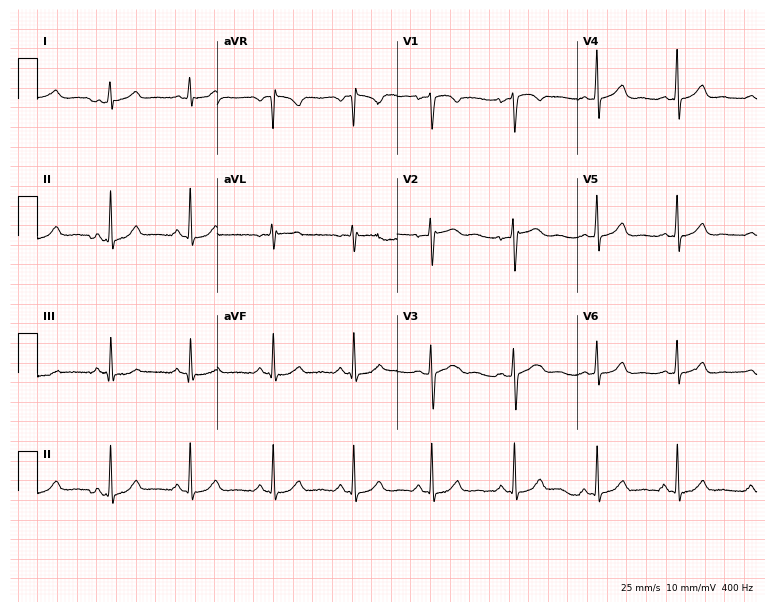
ECG (7.3-second recording at 400 Hz) — a woman, 24 years old. Labelled as a normal ECG.